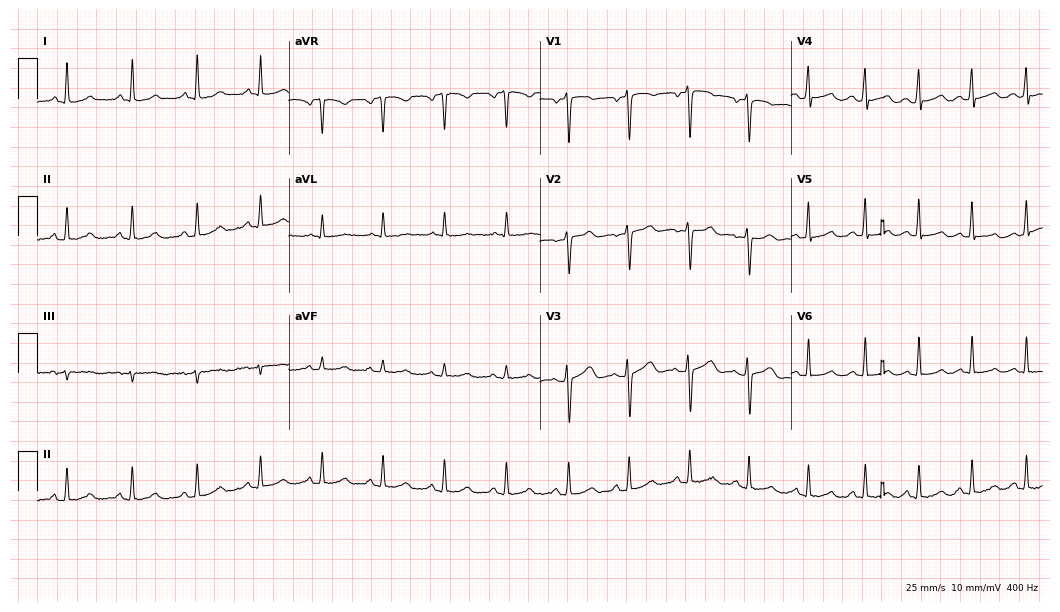
Electrocardiogram, a female, 39 years old. Overall reading on record: normal ECG.